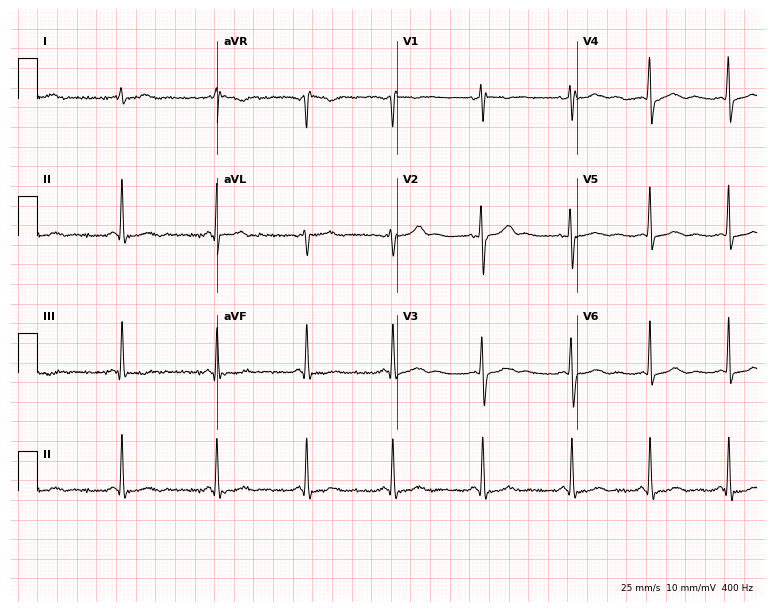
Standard 12-lead ECG recorded from a 17-year-old female patient (7.3-second recording at 400 Hz). Read as a normal ECG.